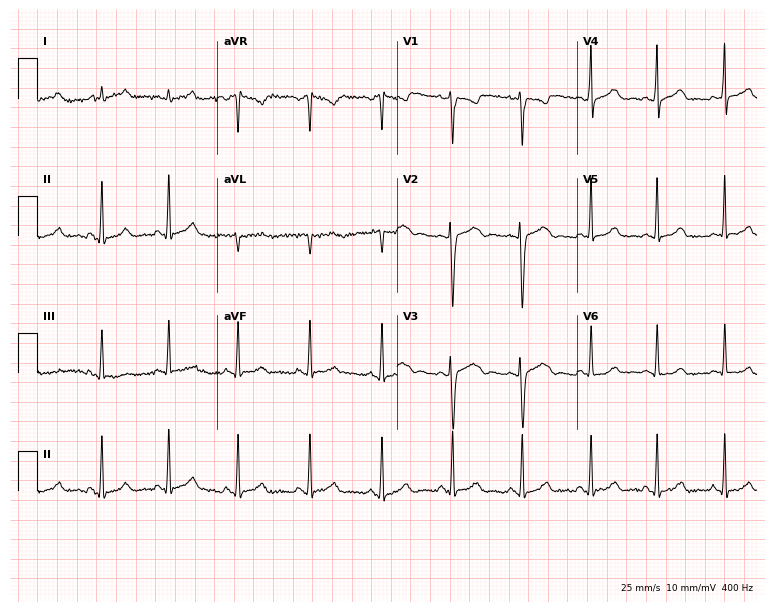
12-lead ECG from a woman, 18 years old. Recorded interpretation: within normal limits.